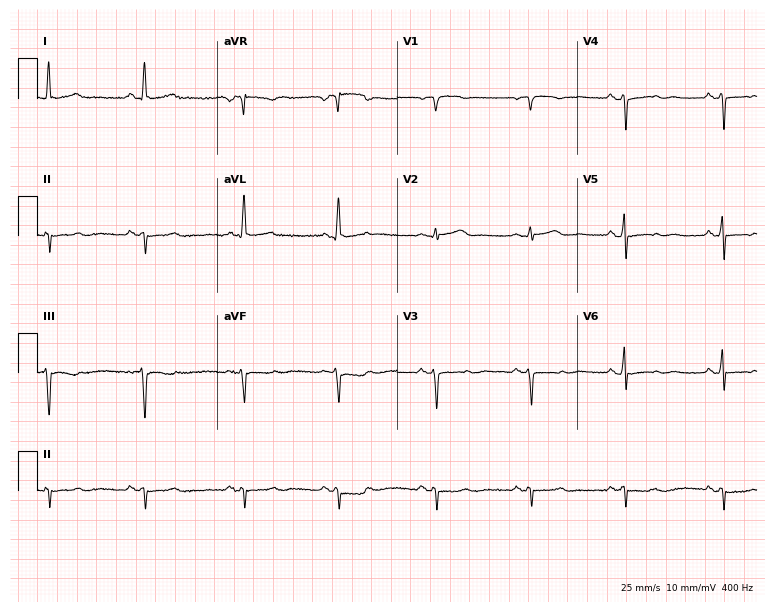
12-lead ECG from a female patient, 66 years old (7.3-second recording at 400 Hz). No first-degree AV block, right bundle branch block (RBBB), left bundle branch block (LBBB), sinus bradycardia, atrial fibrillation (AF) or sinus tachycardia recorded for this tracing. Only these six findings were labelled.